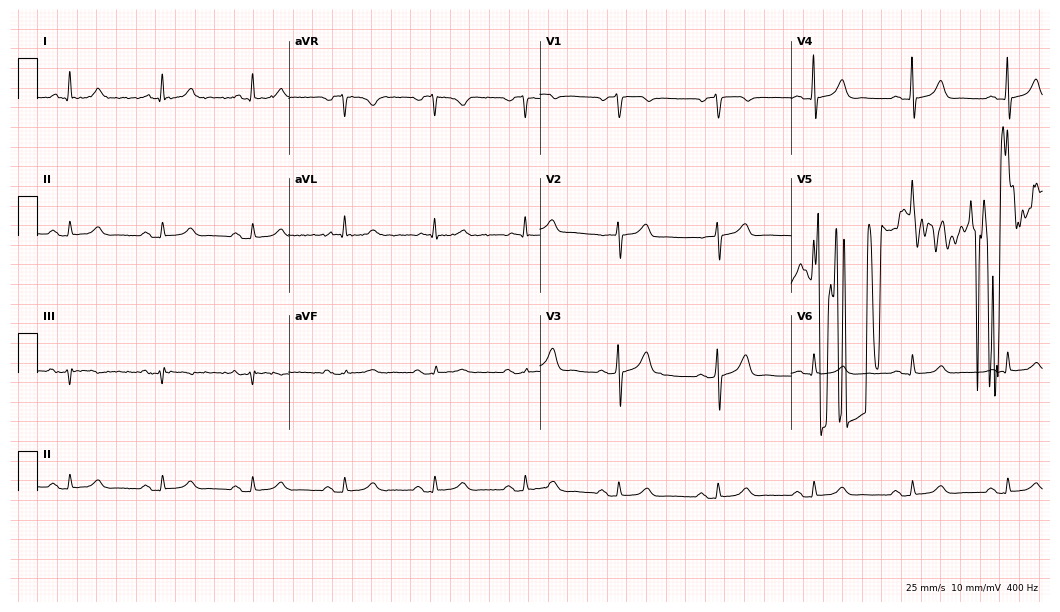
Standard 12-lead ECG recorded from a male patient, 67 years old. None of these six findings is recorded: first-degree AV block, right bundle branch block (RBBB), left bundle branch block (LBBB), sinus bradycardia, atrial fibrillation (AF), sinus tachycardia.